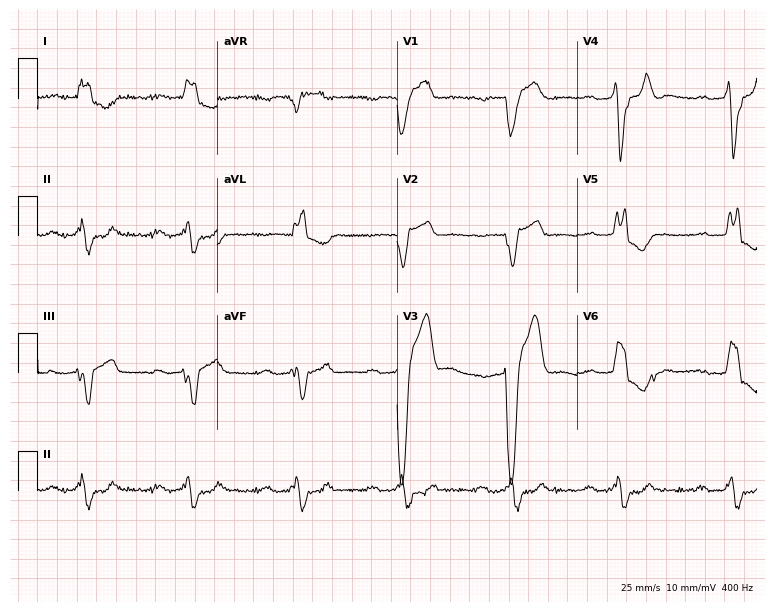
12-lead ECG from a male patient, 77 years old. Screened for six findings — first-degree AV block, right bundle branch block, left bundle branch block, sinus bradycardia, atrial fibrillation, sinus tachycardia — none is recorded. Findings outside these six are not listed.